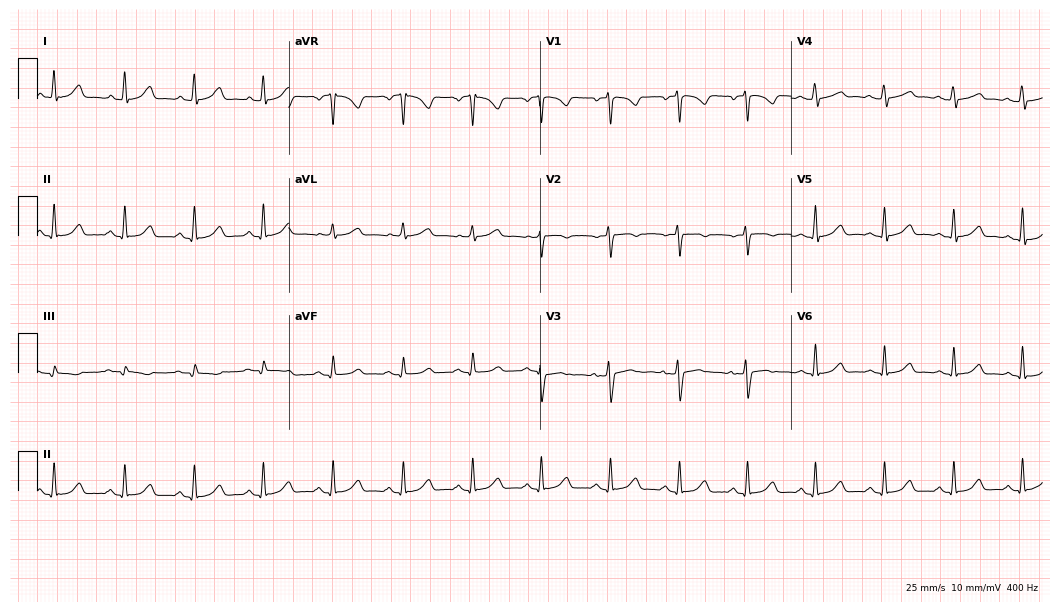
ECG — a female, 38 years old. Labelled as a normal ECG.